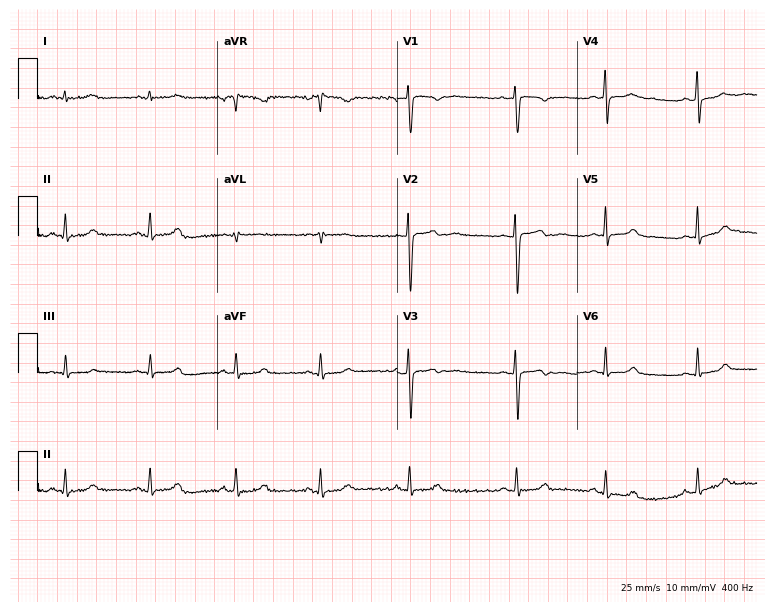
Electrocardiogram, a 24-year-old woman. Overall reading on record: normal ECG.